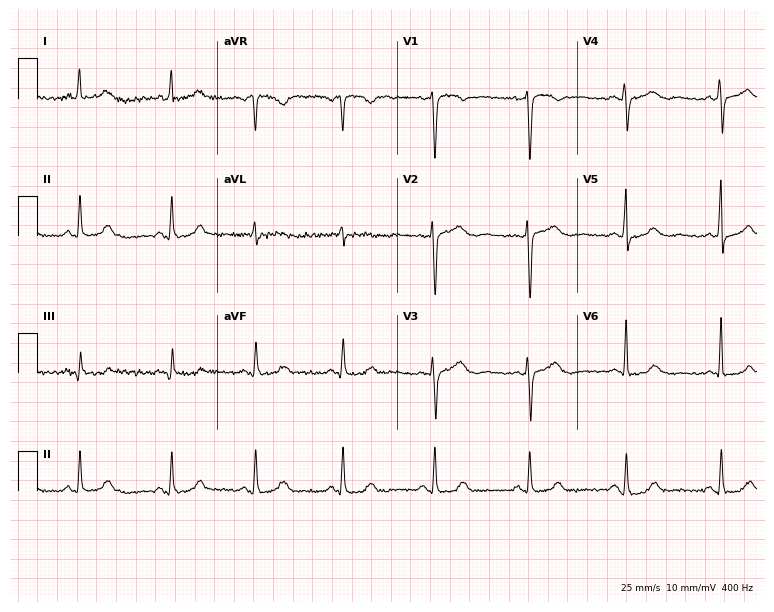
Electrocardiogram (7.3-second recording at 400 Hz), a female, 44 years old. Overall reading on record: normal ECG.